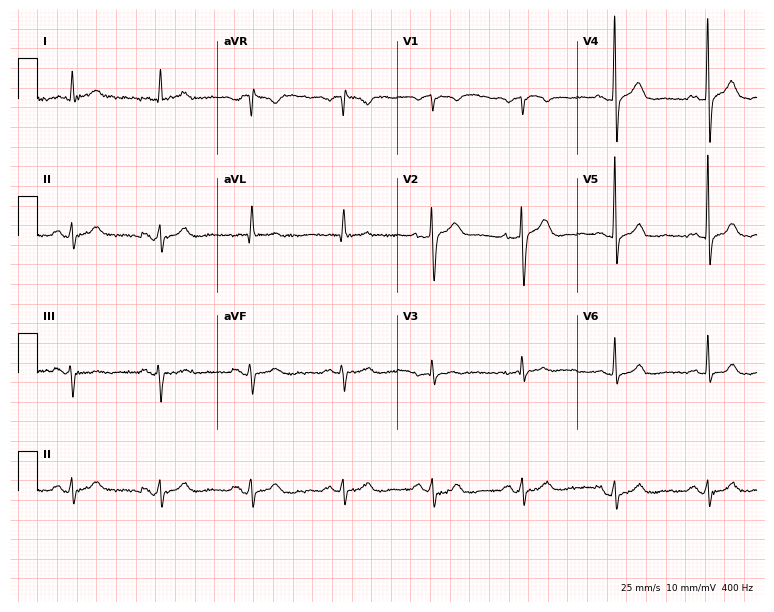
Standard 12-lead ECG recorded from a 72-year-old male patient. None of these six findings is recorded: first-degree AV block, right bundle branch block, left bundle branch block, sinus bradycardia, atrial fibrillation, sinus tachycardia.